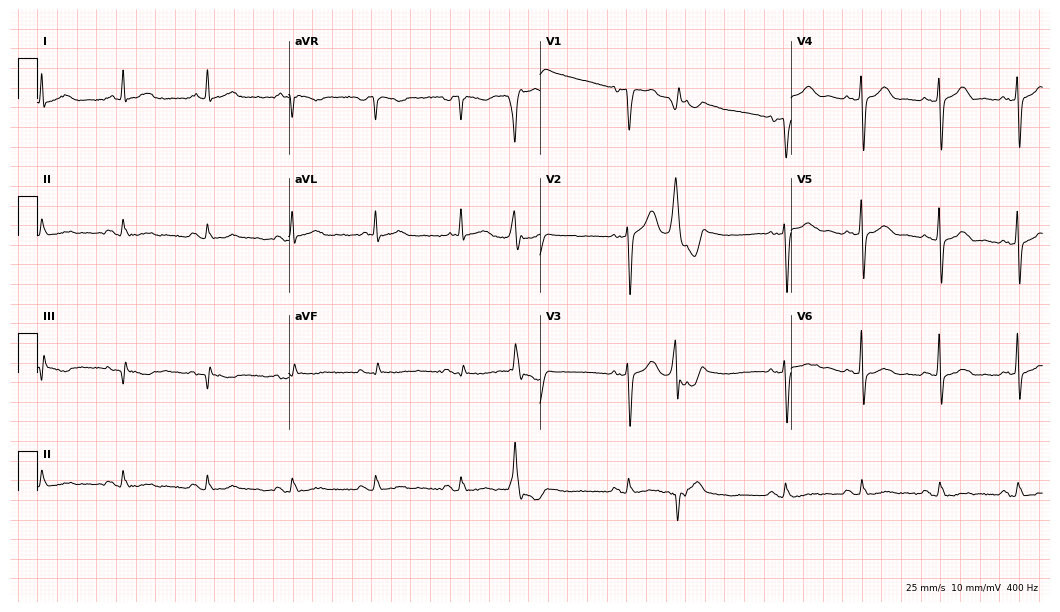
Resting 12-lead electrocardiogram. Patient: a male, 69 years old. None of these six findings is recorded: first-degree AV block, right bundle branch block, left bundle branch block, sinus bradycardia, atrial fibrillation, sinus tachycardia. Other findings, if any, are not listed.